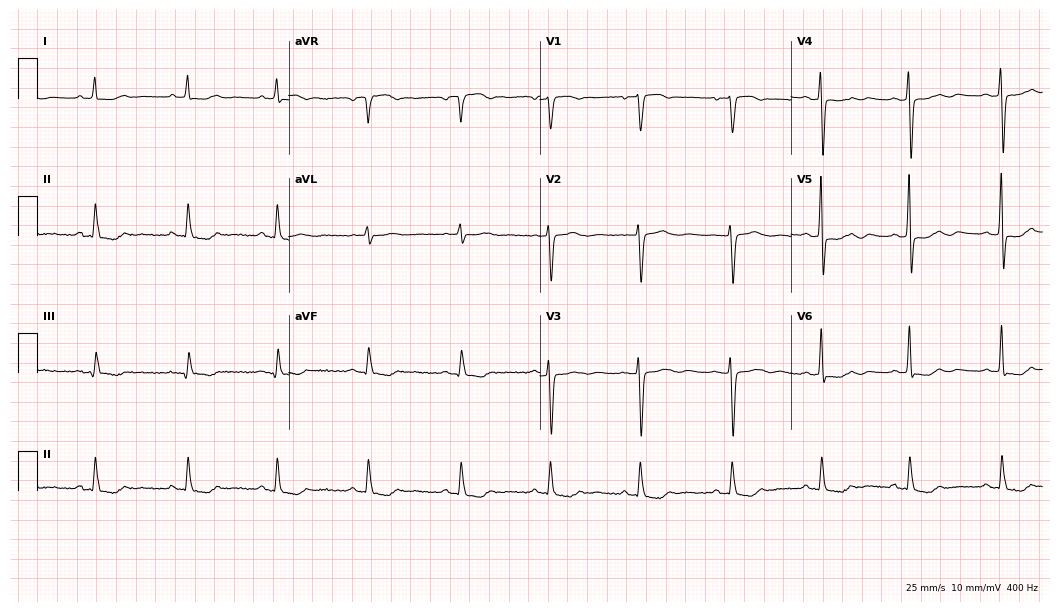
12-lead ECG from a 78-year-old woman (10.2-second recording at 400 Hz). No first-degree AV block, right bundle branch block, left bundle branch block, sinus bradycardia, atrial fibrillation or sinus tachycardia recorded for this tracing. Only these six findings were labelled.